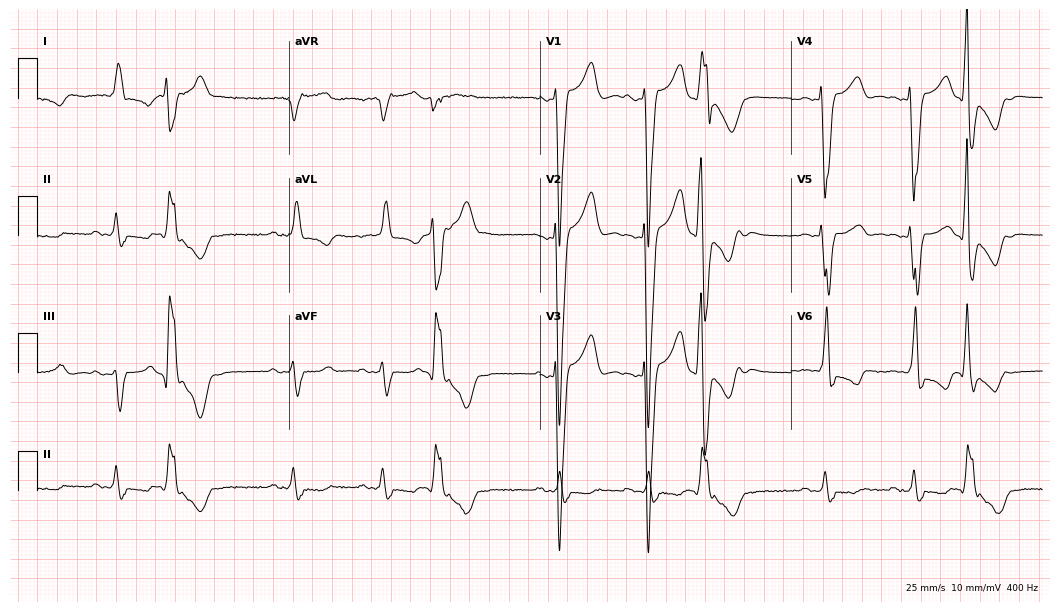
Standard 12-lead ECG recorded from a man, 82 years old (10.2-second recording at 400 Hz). The tracing shows left bundle branch block (LBBB).